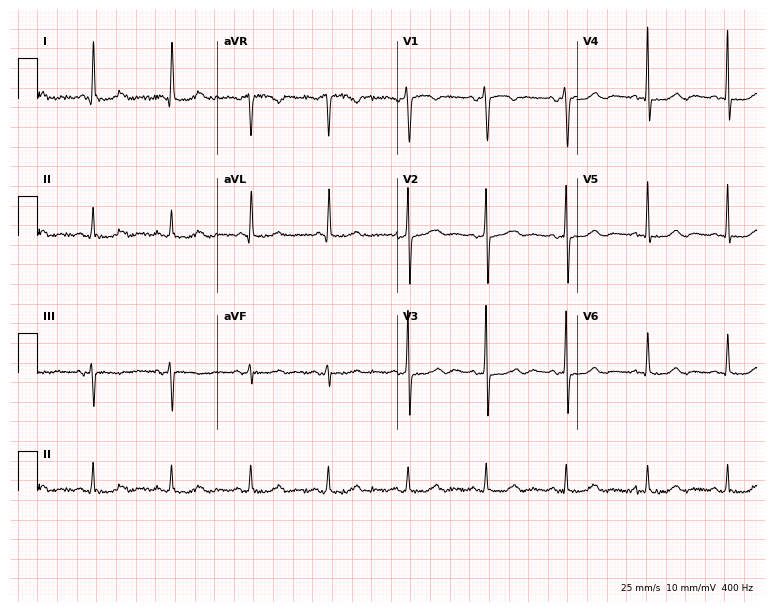
ECG — a female patient, 81 years old. Screened for six findings — first-degree AV block, right bundle branch block, left bundle branch block, sinus bradycardia, atrial fibrillation, sinus tachycardia — none is recorded.